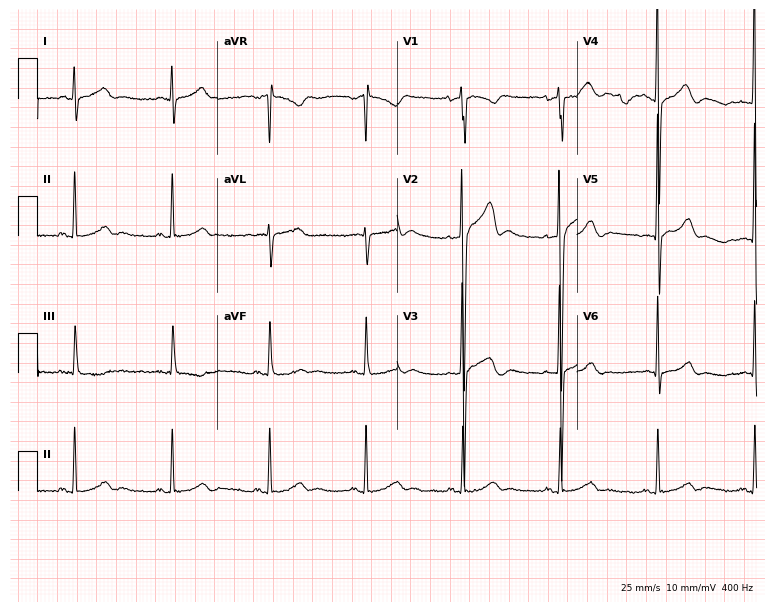
Electrocardiogram (7.3-second recording at 400 Hz), a man, 56 years old. Overall reading on record: normal ECG.